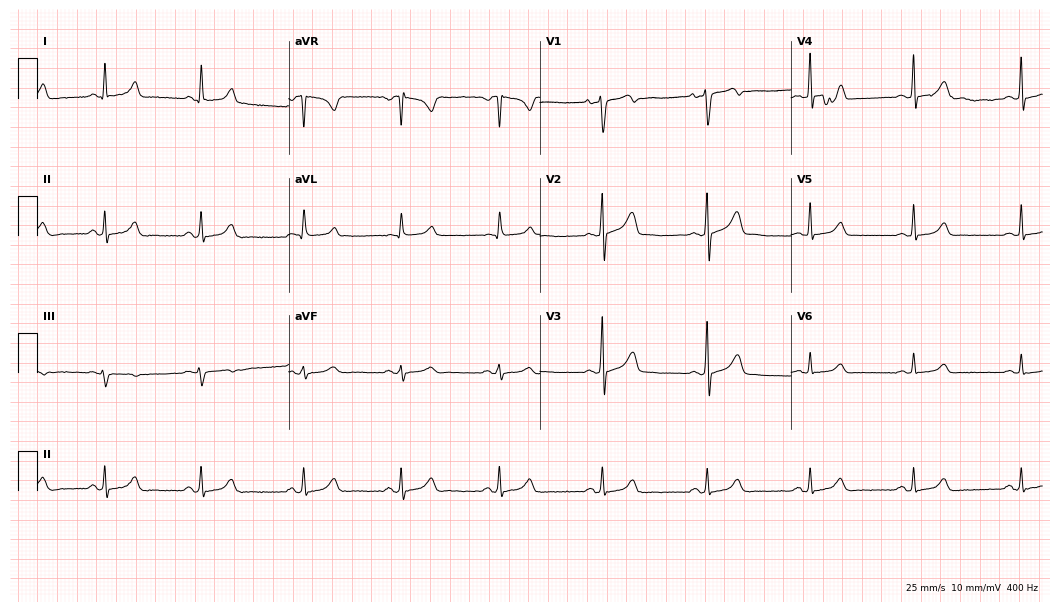
12-lead ECG from a 27-year-old female (10.2-second recording at 400 Hz). Recorded interpretation: within normal limits.